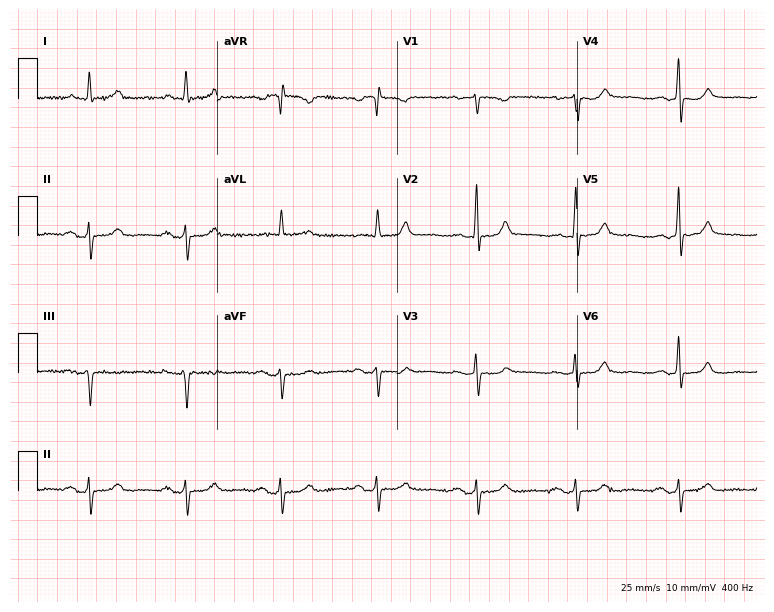
Resting 12-lead electrocardiogram. Patient: a female, 83 years old. None of these six findings is recorded: first-degree AV block, right bundle branch block, left bundle branch block, sinus bradycardia, atrial fibrillation, sinus tachycardia.